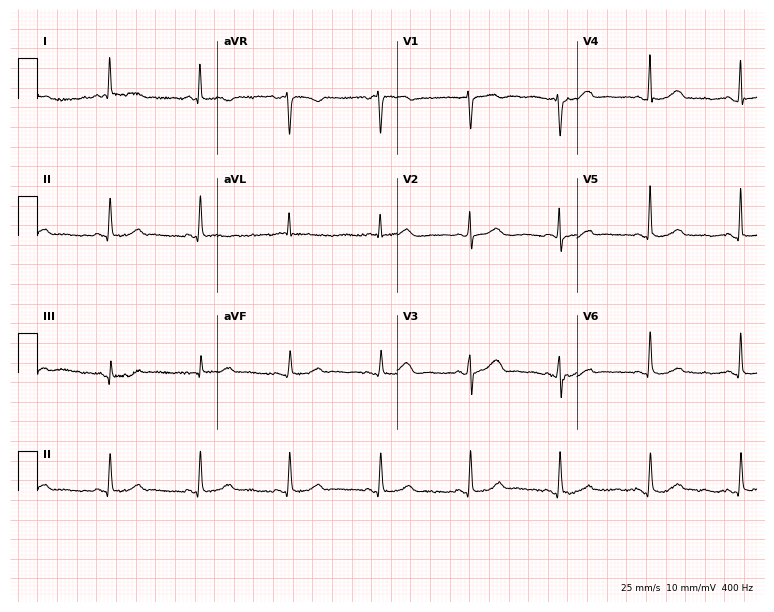
Electrocardiogram, a 77-year-old female. Overall reading on record: normal ECG.